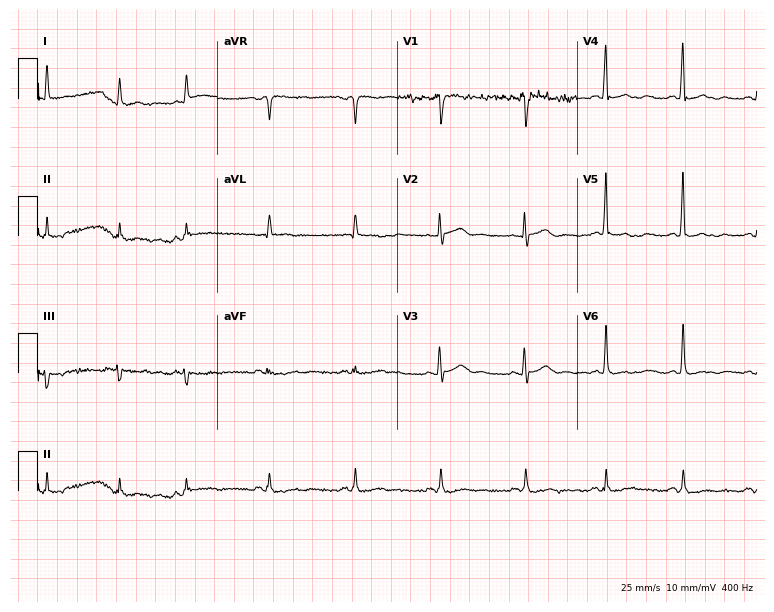
Resting 12-lead electrocardiogram (7.3-second recording at 400 Hz). Patient: a male, 80 years old. None of these six findings is recorded: first-degree AV block, right bundle branch block (RBBB), left bundle branch block (LBBB), sinus bradycardia, atrial fibrillation (AF), sinus tachycardia.